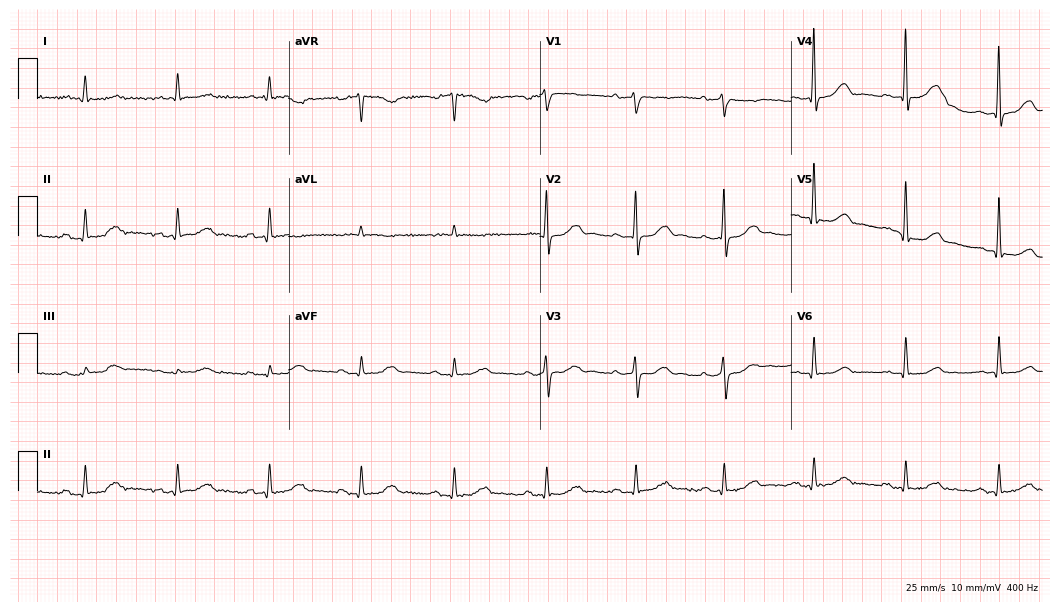
12-lead ECG from a 76-year-old male patient. Labelled as a normal ECG.